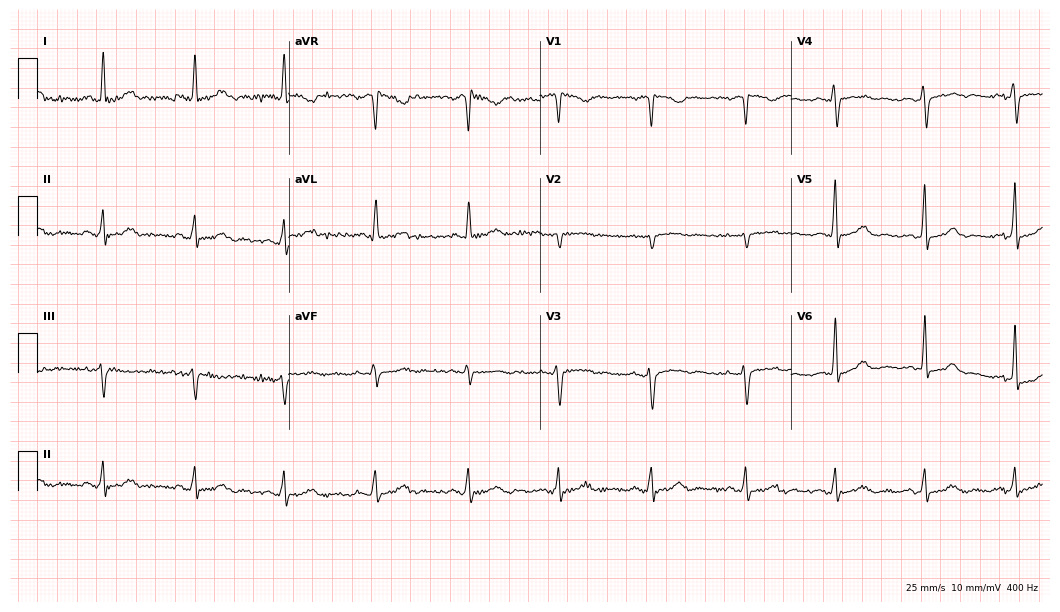
Standard 12-lead ECG recorded from a 43-year-old female patient (10.2-second recording at 400 Hz). Read as a normal ECG.